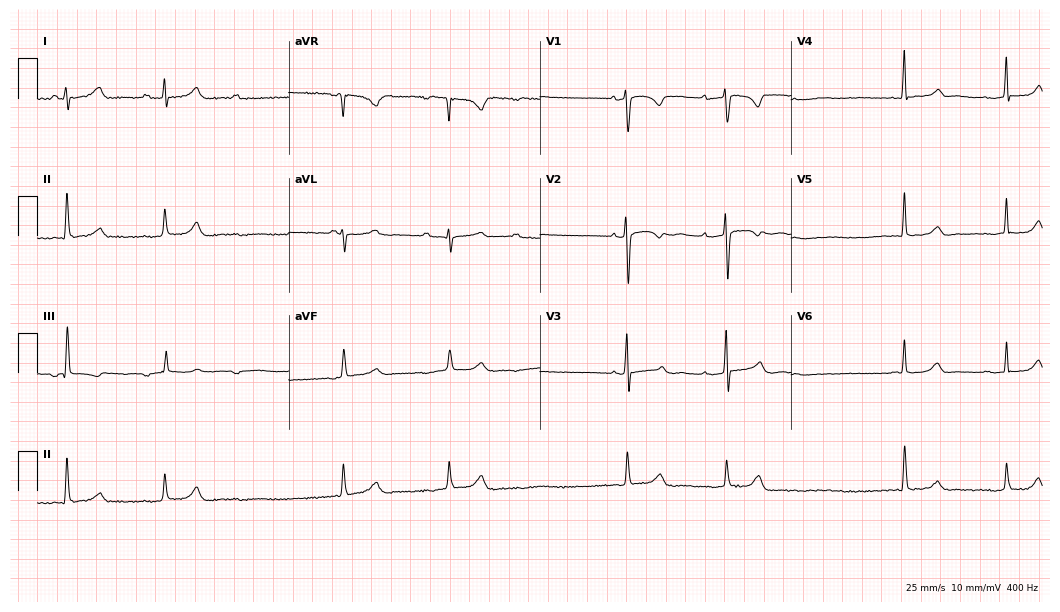
Resting 12-lead electrocardiogram (10.2-second recording at 400 Hz). Patient: a female, 34 years old. None of these six findings is recorded: first-degree AV block, right bundle branch block (RBBB), left bundle branch block (LBBB), sinus bradycardia, atrial fibrillation (AF), sinus tachycardia.